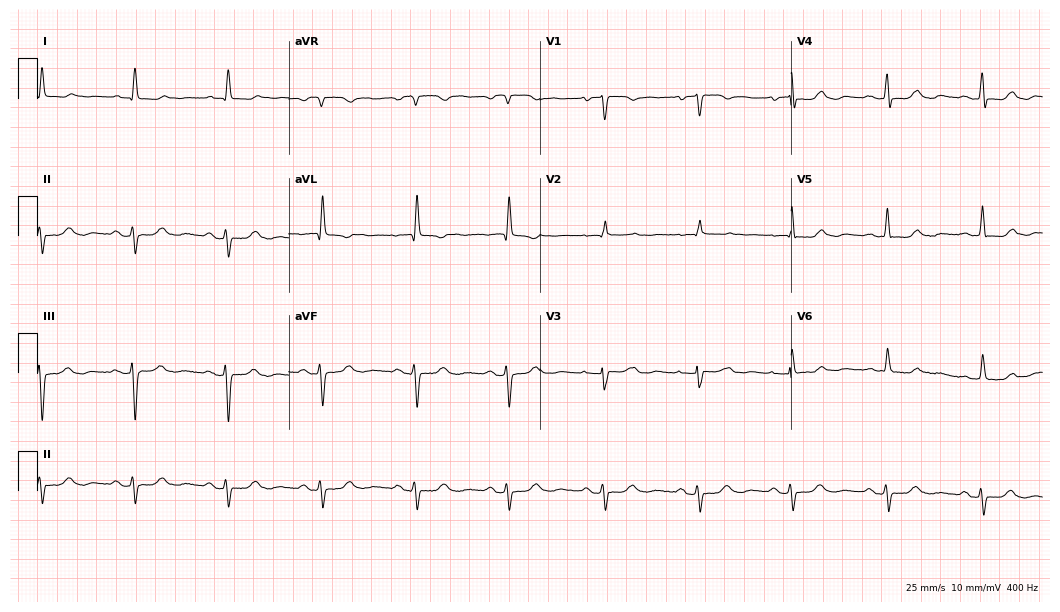
ECG (10.2-second recording at 400 Hz) — a woman, 84 years old. Screened for six findings — first-degree AV block, right bundle branch block, left bundle branch block, sinus bradycardia, atrial fibrillation, sinus tachycardia — none is recorded. Only these six findings were labelled.